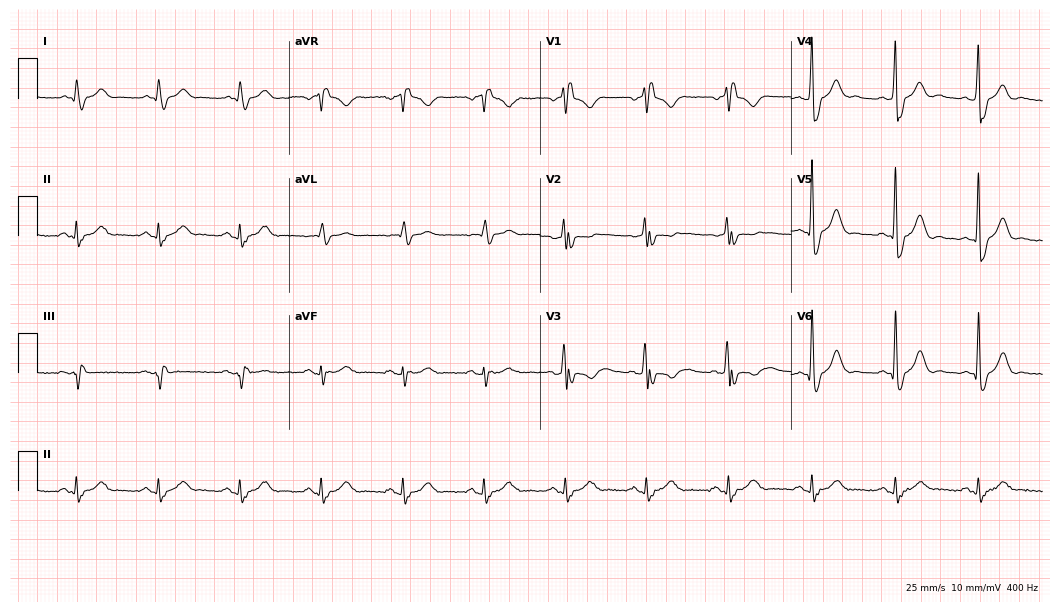
Electrocardiogram, a 66-year-old man. Interpretation includes right bundle branch block (RBBB).